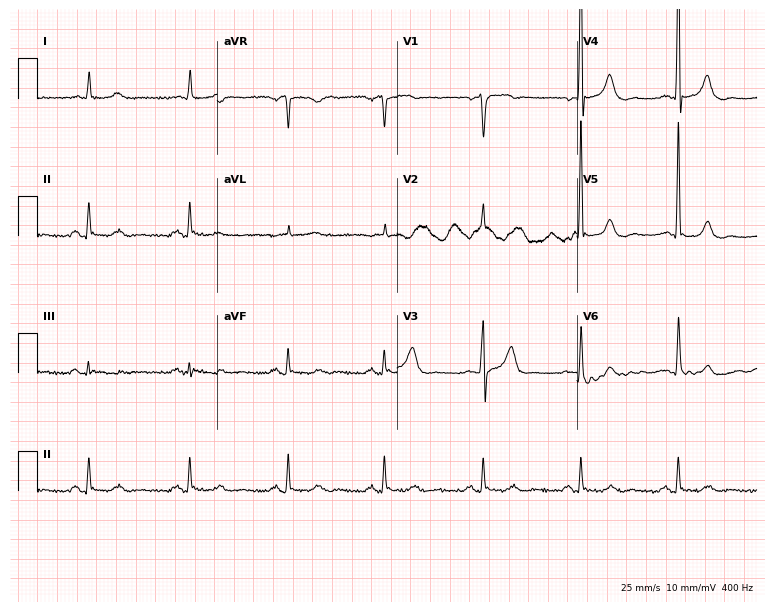
Standard 12-lead ECG recorded from a female, 74 years old. None of these six findings is recorded: first-degree AV block, right bundle branch block, left bundle branch block, sinus bradycardia, atrial fibrillation, sinus tachycardia. Other findings, if any, are not listed.